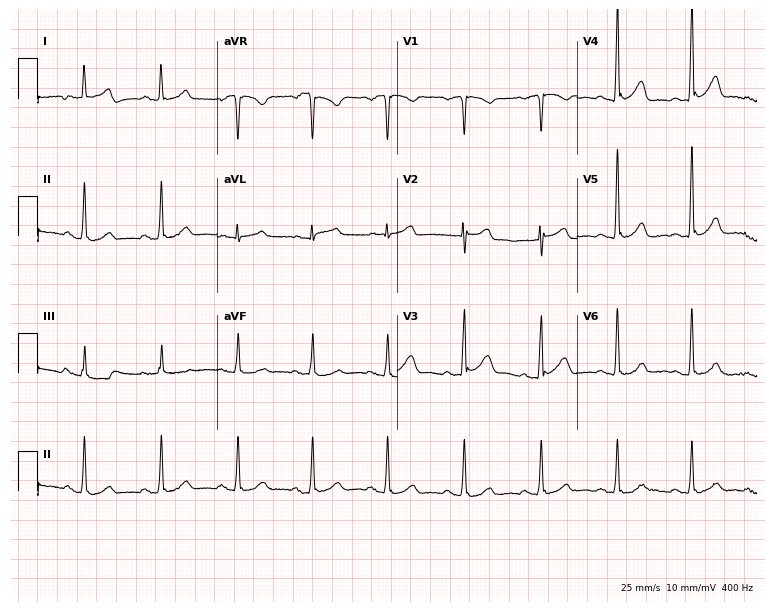
Standard 12-lead ECG recorded from a 52-year-old male patient (7.3-second recording at 400 Hz). Read as a normal ECG.